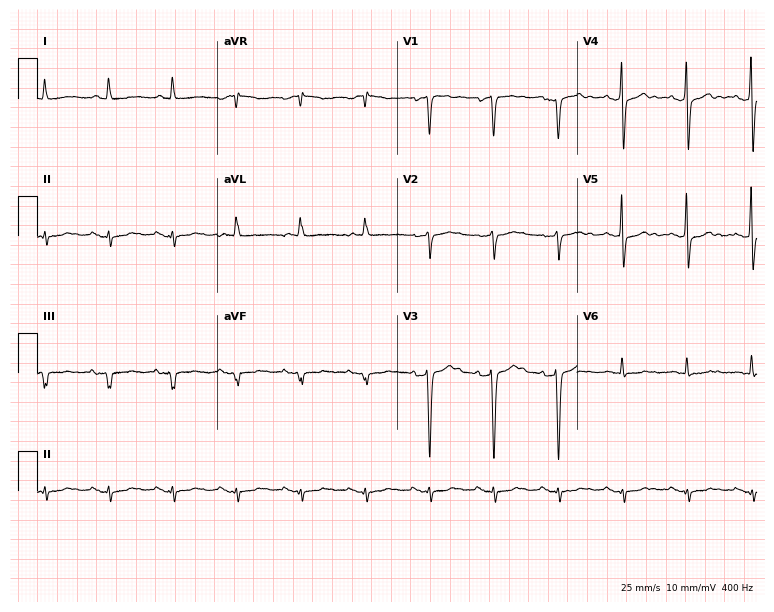
ECG — a woman, 80 years old. Screened for six findings — first-degree AV block, right bundle branch block, left bundle branch block, sinus bradycardia, atrial fibrillation, sinus tachycardia — none is recorded. Findings outside these six are not listed.